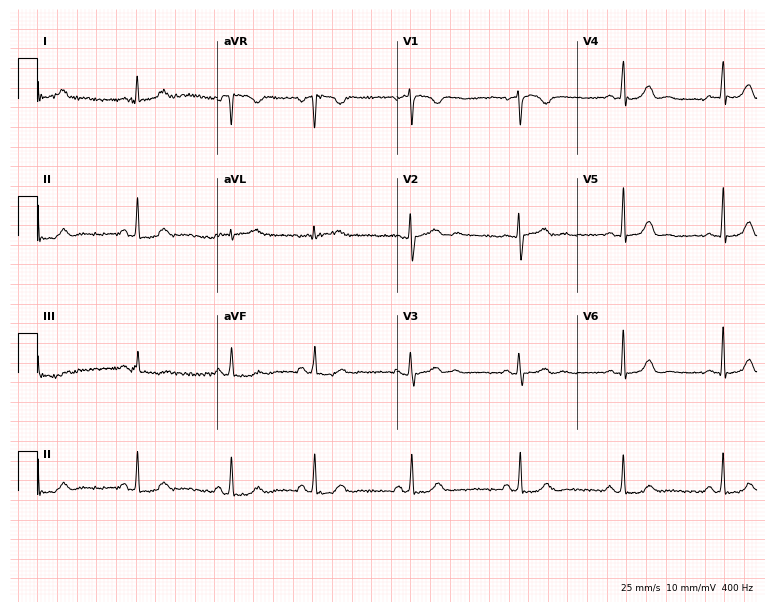
Resting 12-lead electrocardiogram (7.3-second recording at 400 Hz). Patient: a woman, 28 years old. None of these six findings is recorded: first-degree AV block, right bundle branch block, left bundle branch block, sinus bradycardia, atrial fibrillation, sinus tachycardia. Other findings, if any, are not listed.